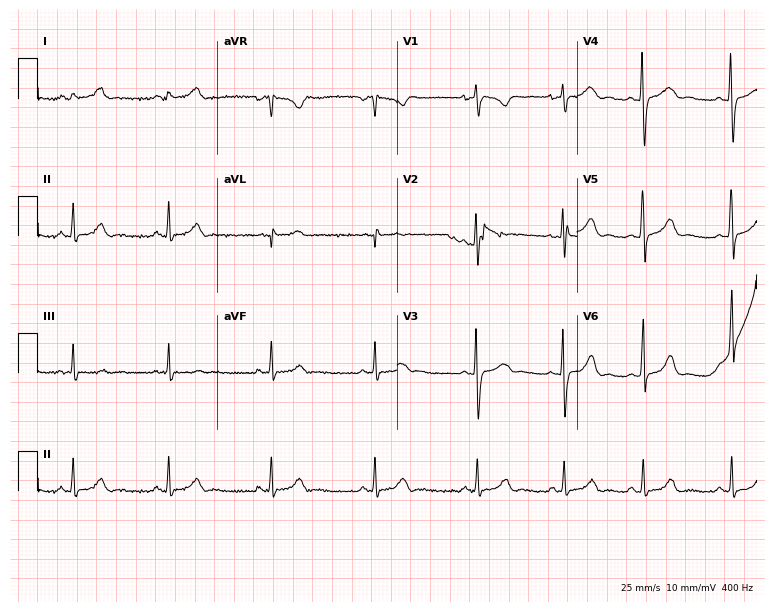
Electrocardiogram (7.3-second recording at 400 Hz), a woman, 20 years old. Overall reading on record: normal ECG.